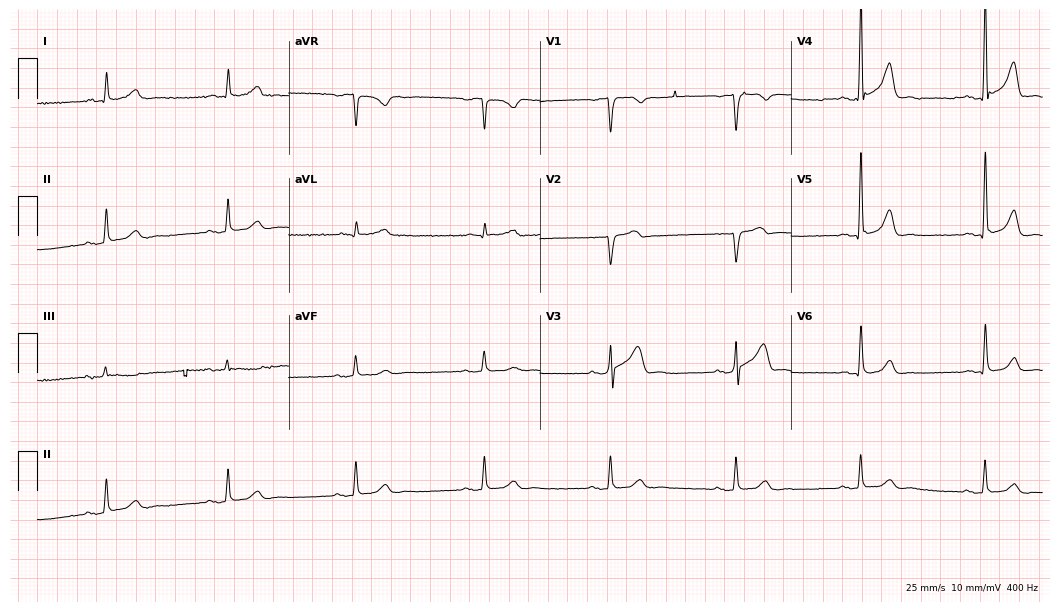
12-lead ECG from a 44-year-old male patient. Shows sinus bradycardia (a sinus rate of 50 beats per minute or less).